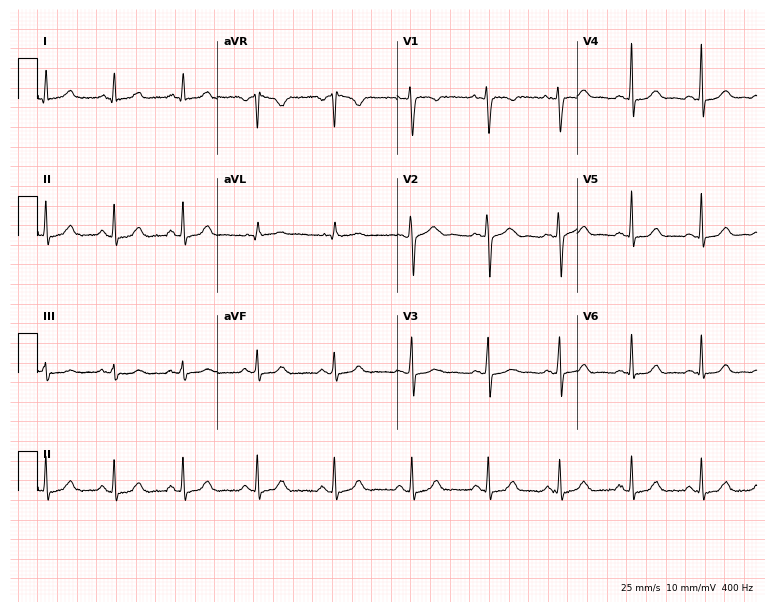
Resting 12-lead electrocardiogram. Patient: a female, 32 years old. Read as a normal ECG.